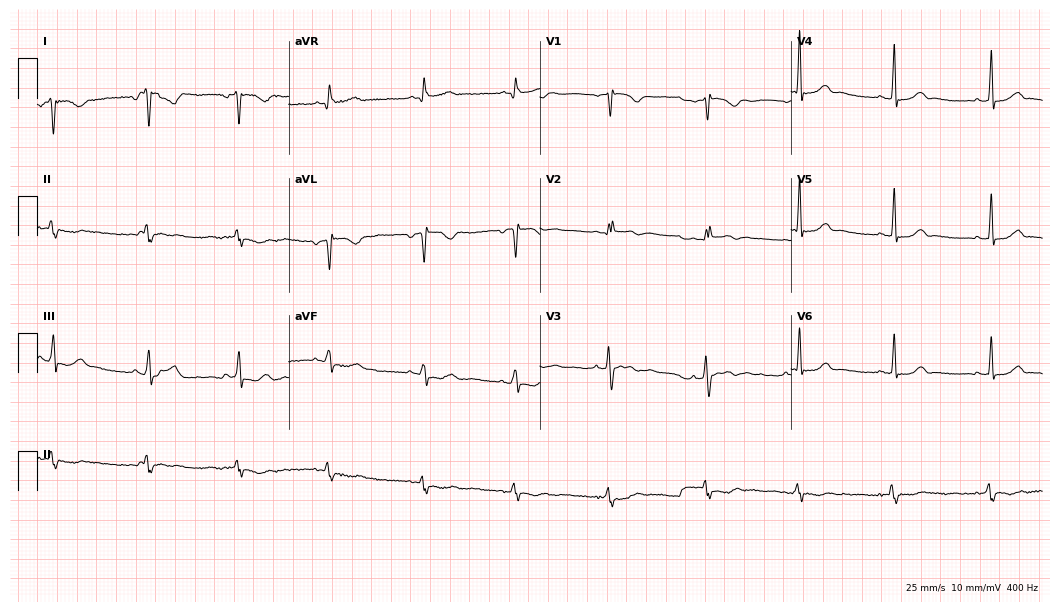
ECG (10.2-second recording at 400 Hz) — a female, 20 years old. Screened for six findings — first-degree AV block, right bundle branch block, left bundle branch block, sinus bradycardia, atrial fibrillation, sinus tachycardia — none is recorded. Findings outside these six are not listed.